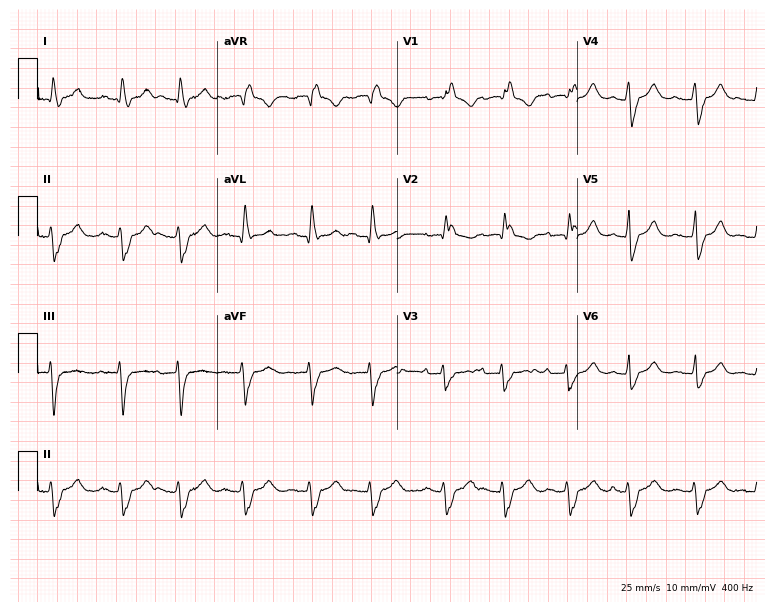
Electrocardiogram, a female patient, 51 years old. Interpretation includes right bundle branch block.